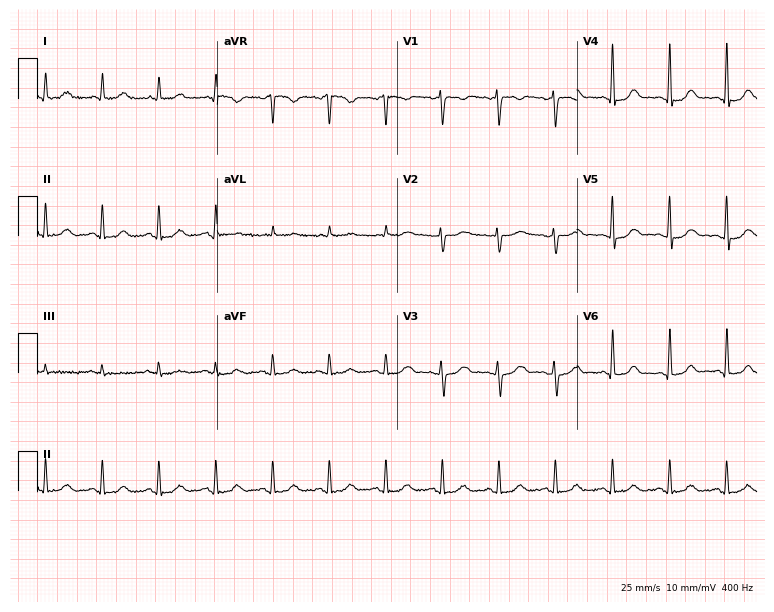
Resting 12-lead electrocardiogram. Patient: a female, 35 years old. The tracing shows sinus tachycardia (a sinus rate of 100 beats per minute or more).